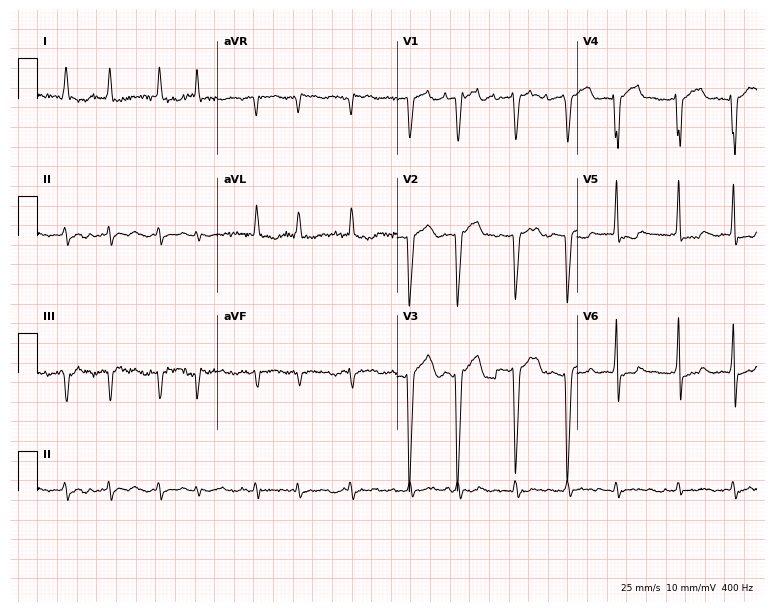
12-lead ECG from a 65-year-old female (7.3-second recording at 400 Hz). Shows atrial fibrillation.